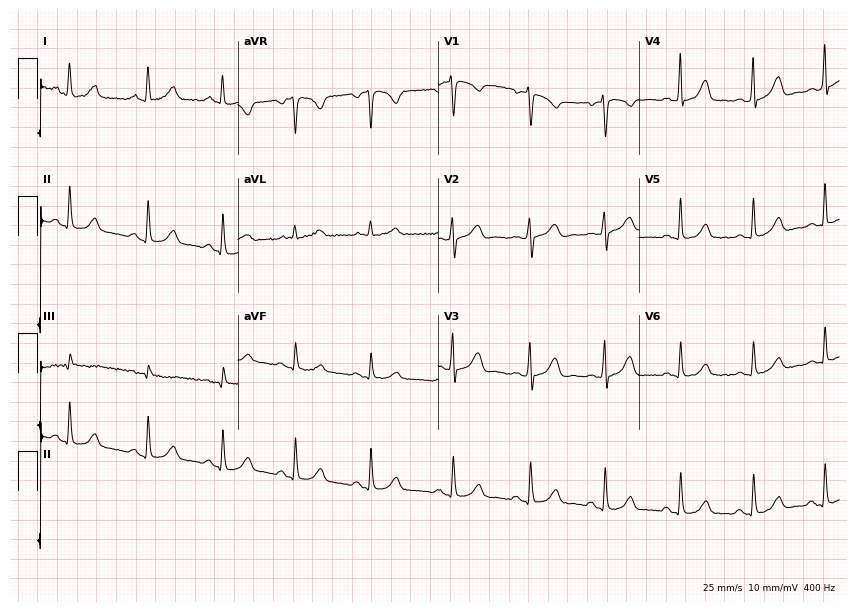
ECG (8.2-second recording at 400 Hz) — a female patient, 57 years old. Labelled as a normal ECG.